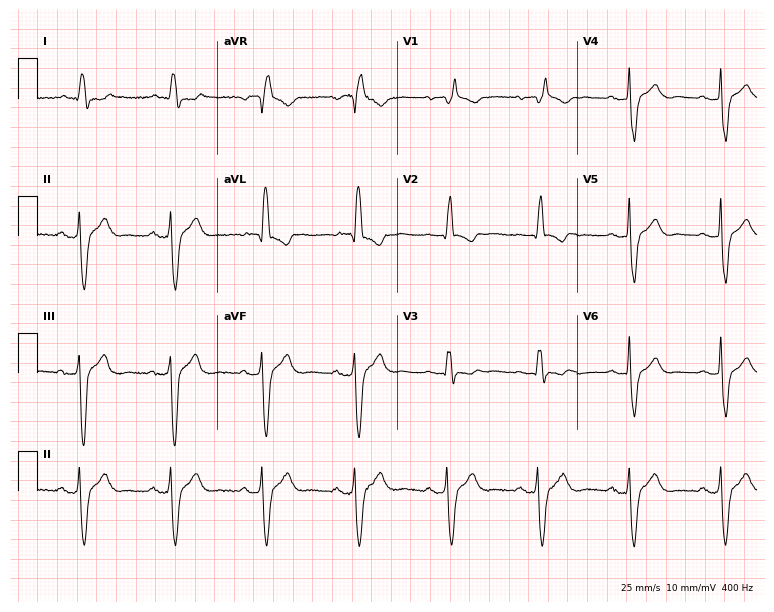
12-lead ECG from a 78-year-old woman. Shows right bundle branch block.